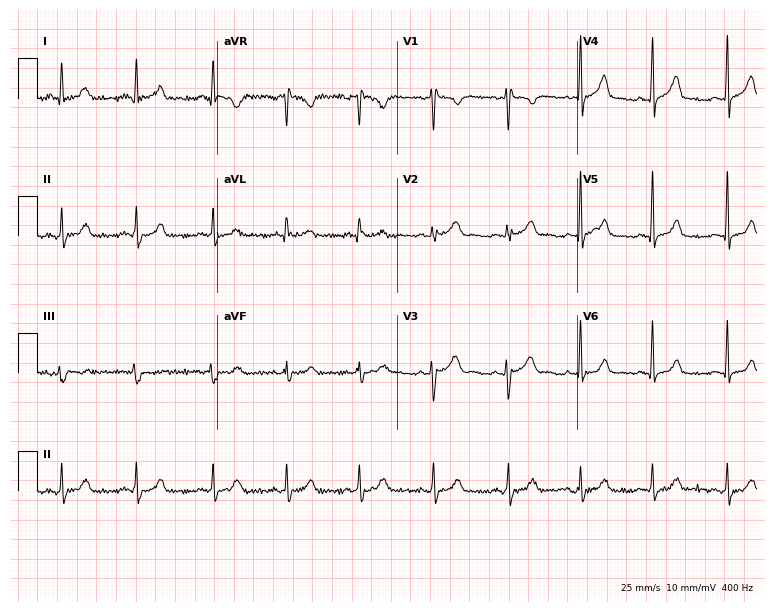
Standard 12-lead ECG recorded from a 35-year-old woman (7.3-second recording at 400 Hz). Read as a normal ECG.